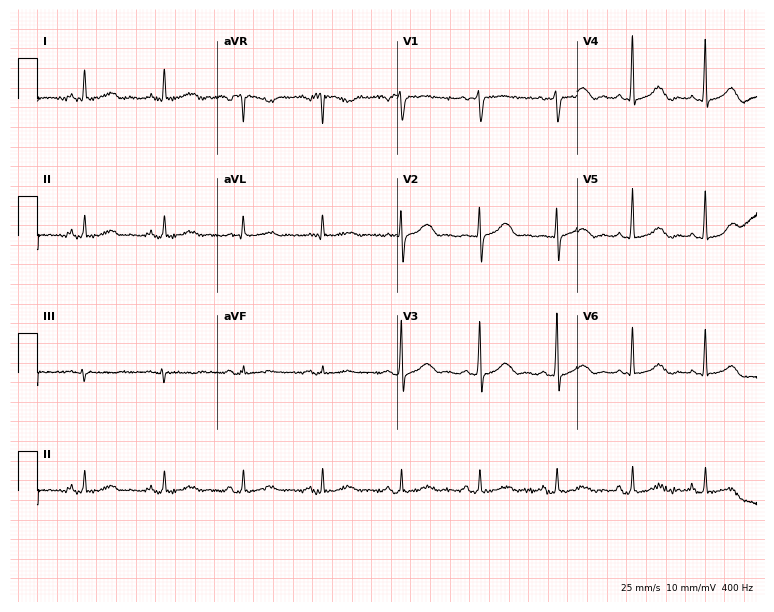
Electrocardiogram, a 73-year-old woman. Overall reading on record: normal ECG.